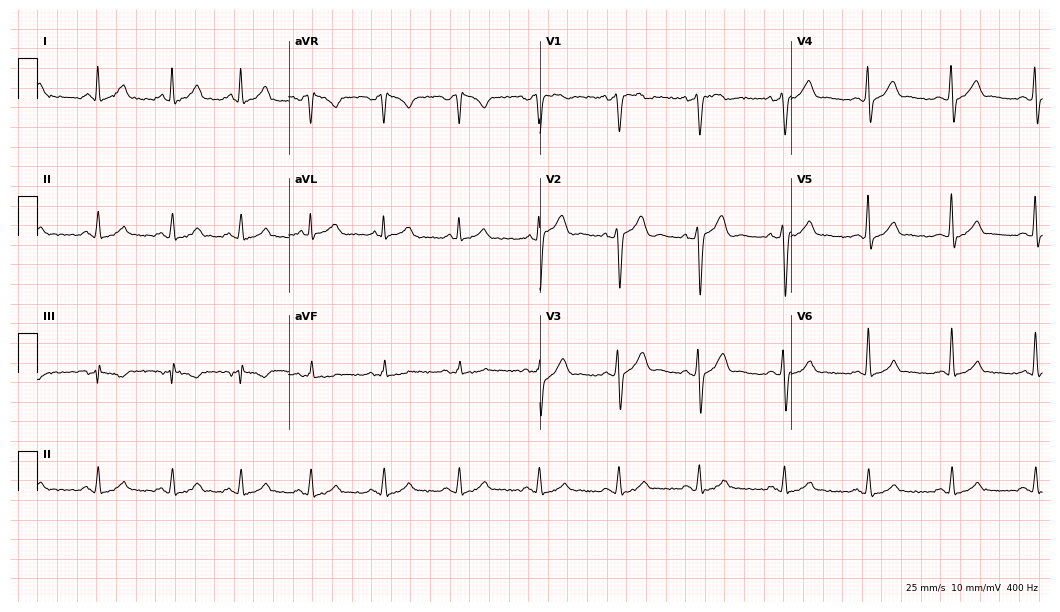
Electrocardiogram (10.2-second recording at 400 Hz), a 67-year-old male. Of the six screened findings (first-degree AV block, right bundle branch block, left bundle branch block, sinus bradycardia, atrial fibrillation, sinus tachycardia), none is recorded. Findings outside these six are not listed.